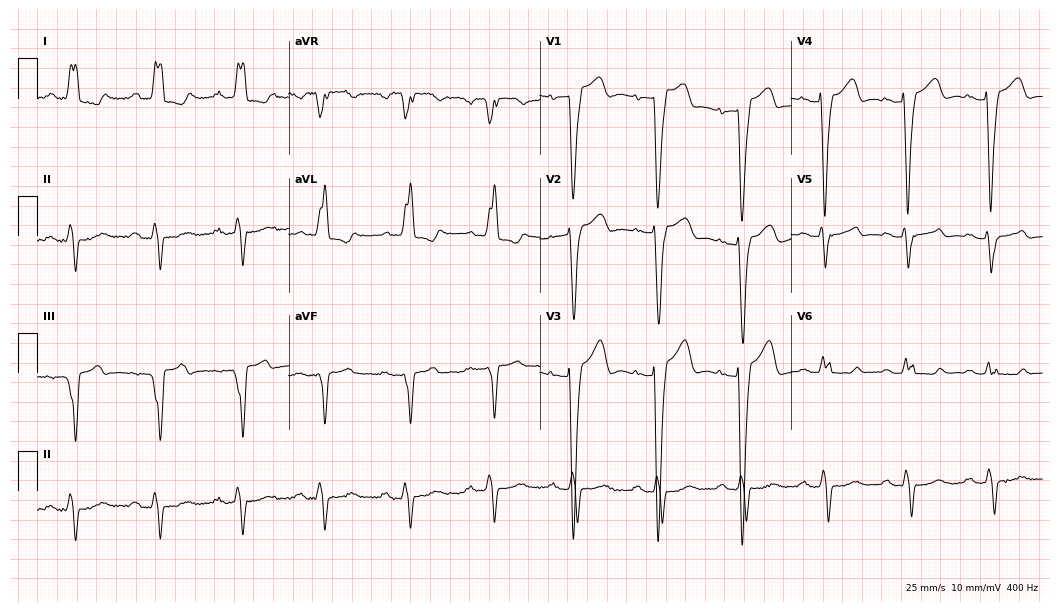
12-lead ECG from a 72-year-old woman. Shows left bundle branch block.